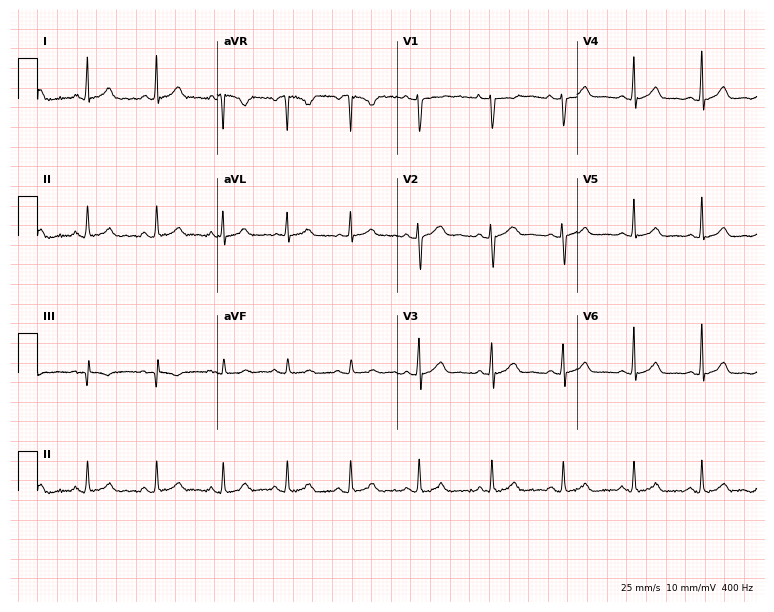
12-lead ECG from a woman, 28 years old (7.3-second recording at 400 Hz). No first-degree AV block, right bundle branch block, left bundle branch block, sinus bradycardia, atrial fibrillation or sinus tachycardia recorded for this tracing.